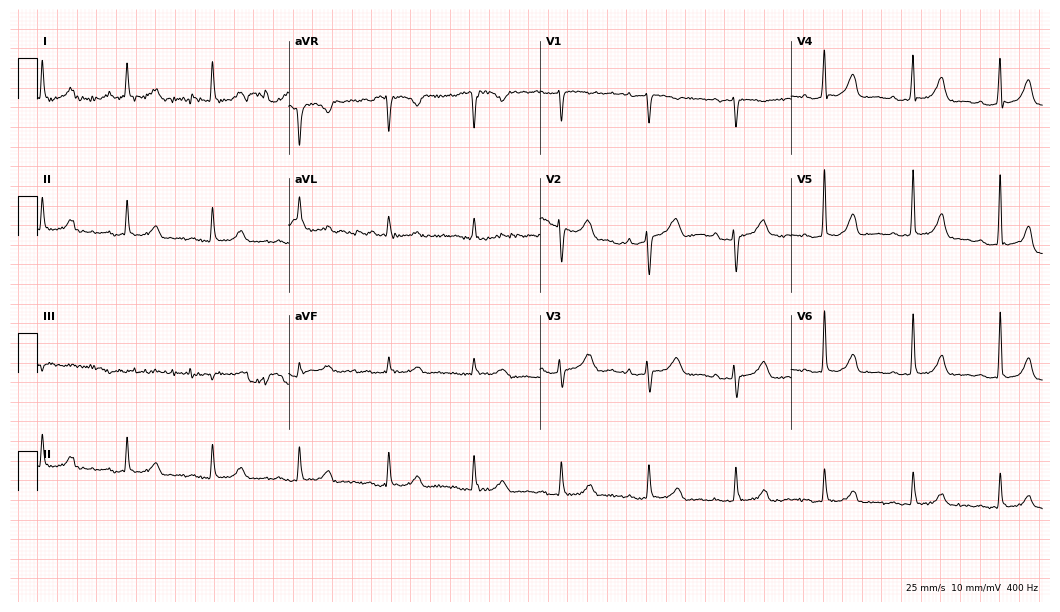
12-lead ECG (10.2-second recording at 400 Hz) from a female patient, 83 years old. Labelled as a normal ECG.